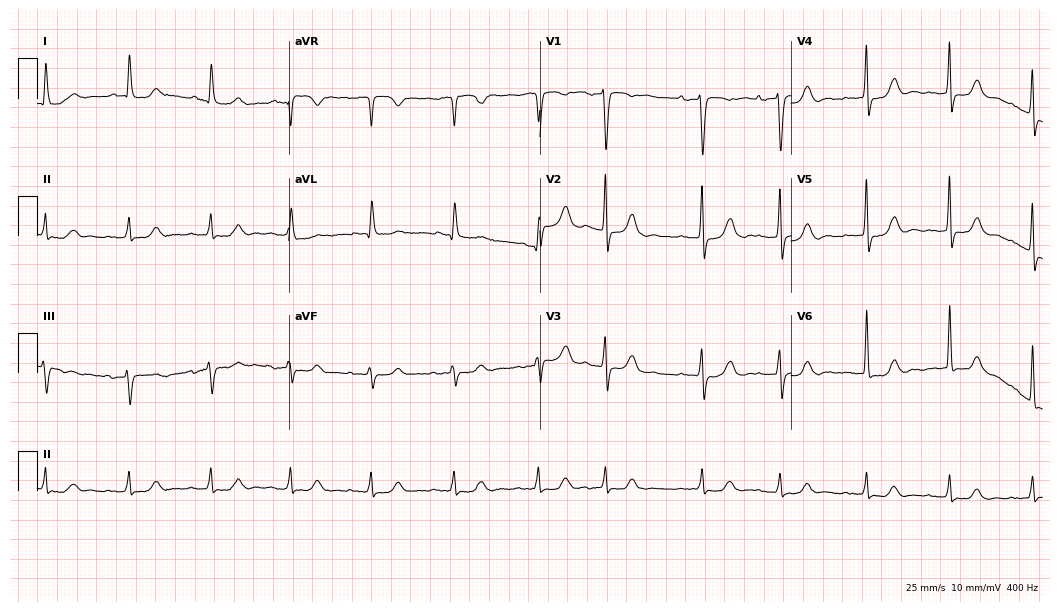
Electrocardiogram (10.2-second recording at 400 Hz), a man, 85 years old. Of the six screened findings (first-degree AV block, right bundle branch block, left bundle branch block, sinus bradycardia, atrial fibrillation, sinus tachycardia), none is recorded. Other findings, if any, are not listed.